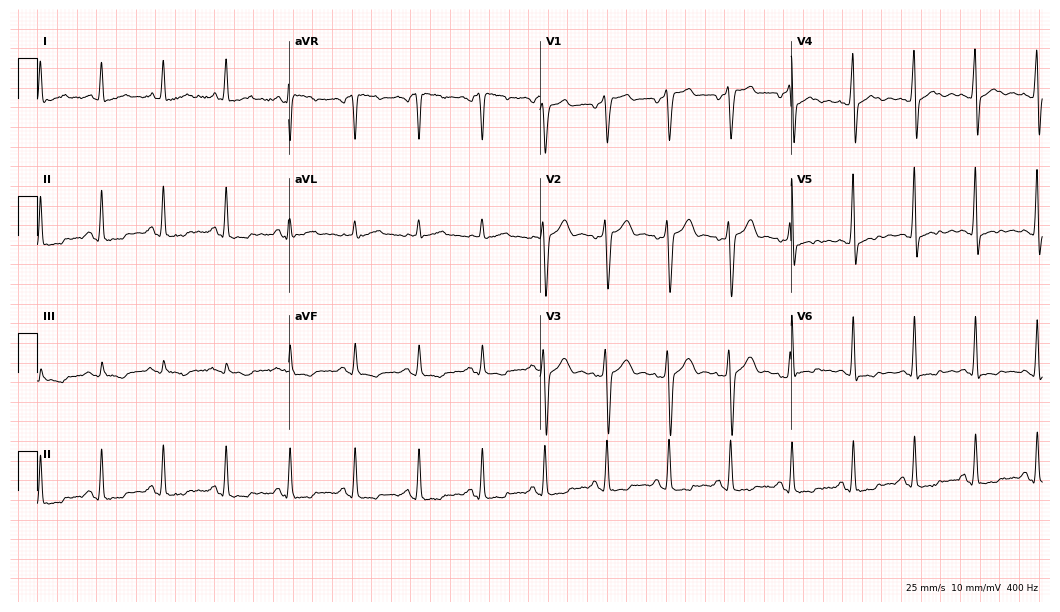
12-lead ECG from a male, 51 years old (10.2-second recording at 400 Hz). No first-degree AV block, right bundle branch block, left bundle branch block, sinus bradycardia, atrial fibrillation or sinus tachycardia recorded for this tracing.